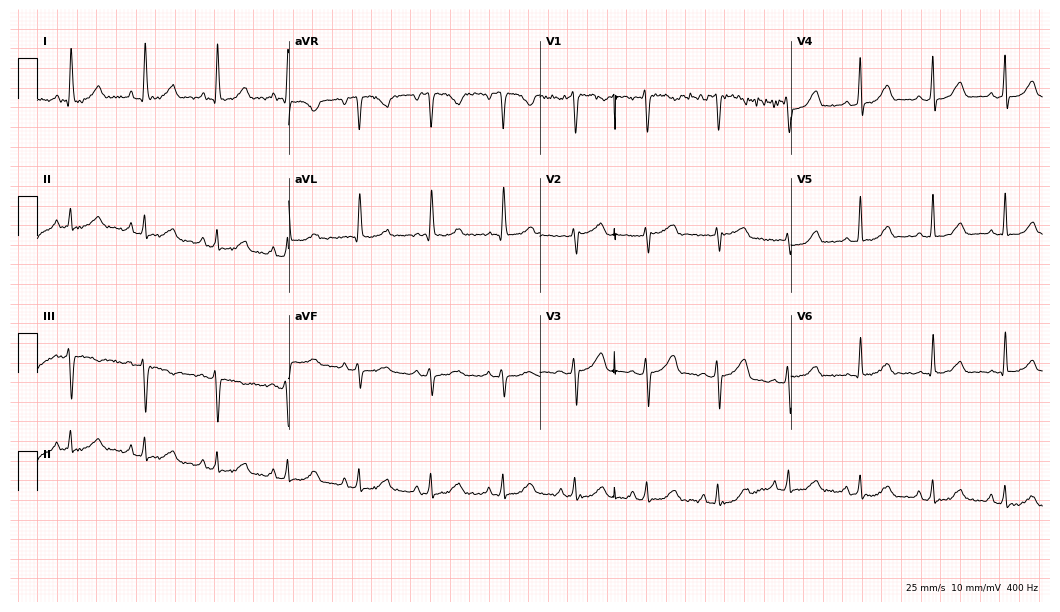
12-lead ECG from a 66-year-old female. Recorded interpretation: within normal limits.